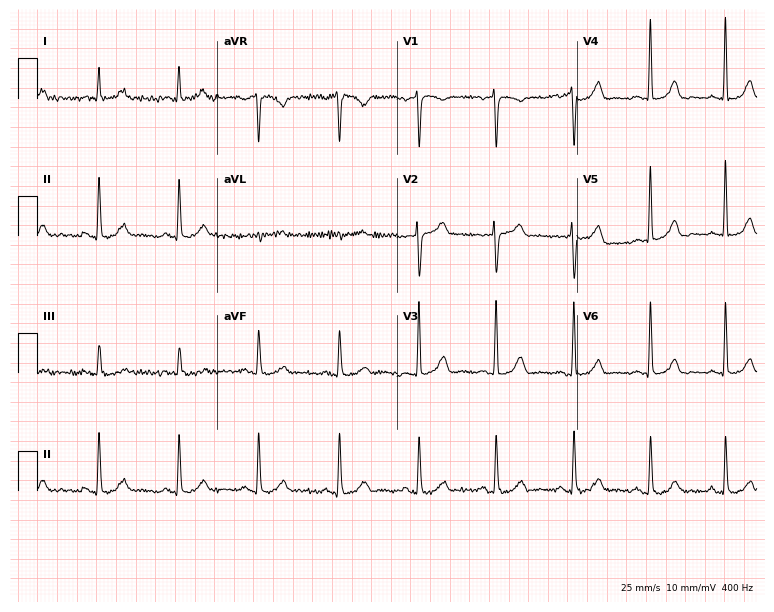
Standard 12-lead ECG recorded from a 56-year-old female (7.3-second recording at 400 Hz). None of these six findings is recorded: first-degree AV block, right bundle branch block (RBBB), left bundle branch block (LBBB), sinus bradycardia, atrial fibrillation (AF), sinus tachycardia.